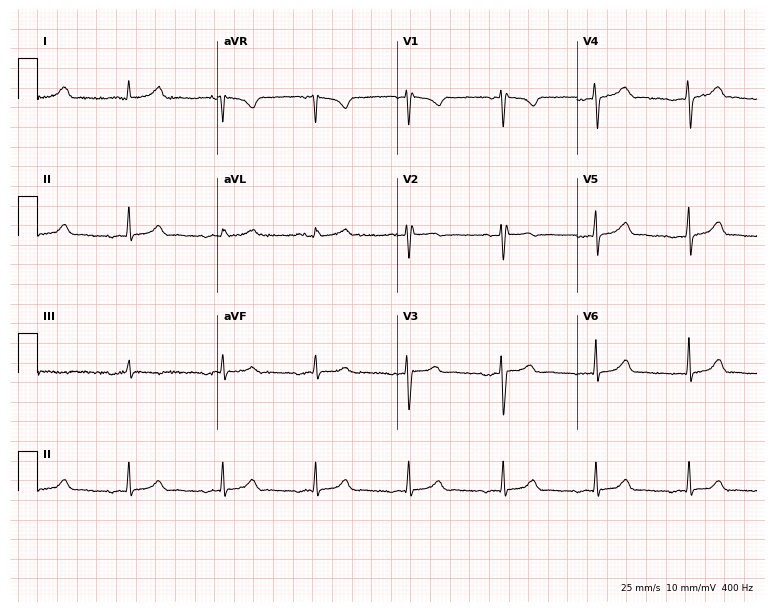
Standard 12-lead ECG recorded from a 25-year-old female patient (7.3-second recording at 400 Hz). None of these six findings is recorded: first-degree AV block, right bundle branch block (RBBB), left bundle branch block (LBBB), sinus bradycardia, atrial fibrillation (AF), sinus tachycardia.